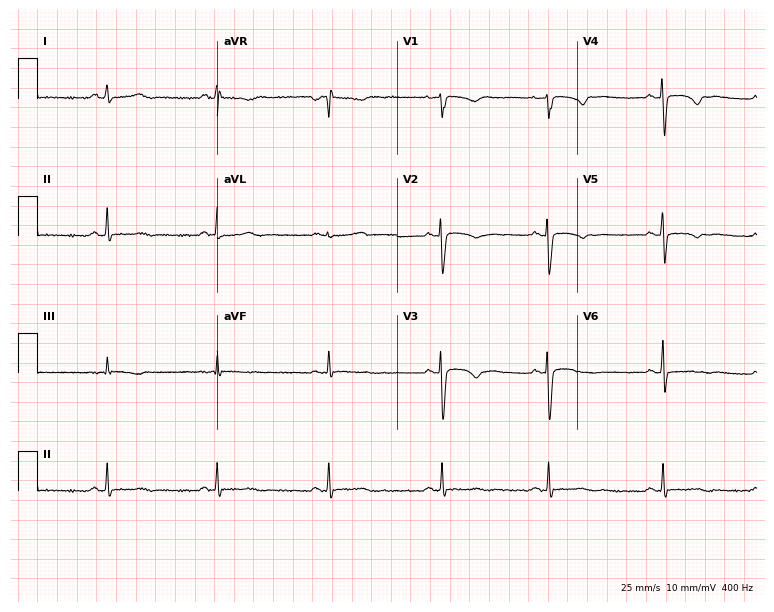
Standard 12-lead ECG recorded from a 27-year-old female patient. None of these six findings is recorded: first-degree AV block, right bundle branch block (RBBB), left bundle branch block (LBBB), sinus bradycardia, atrial fibrillation (AF), sinus tachycardia.